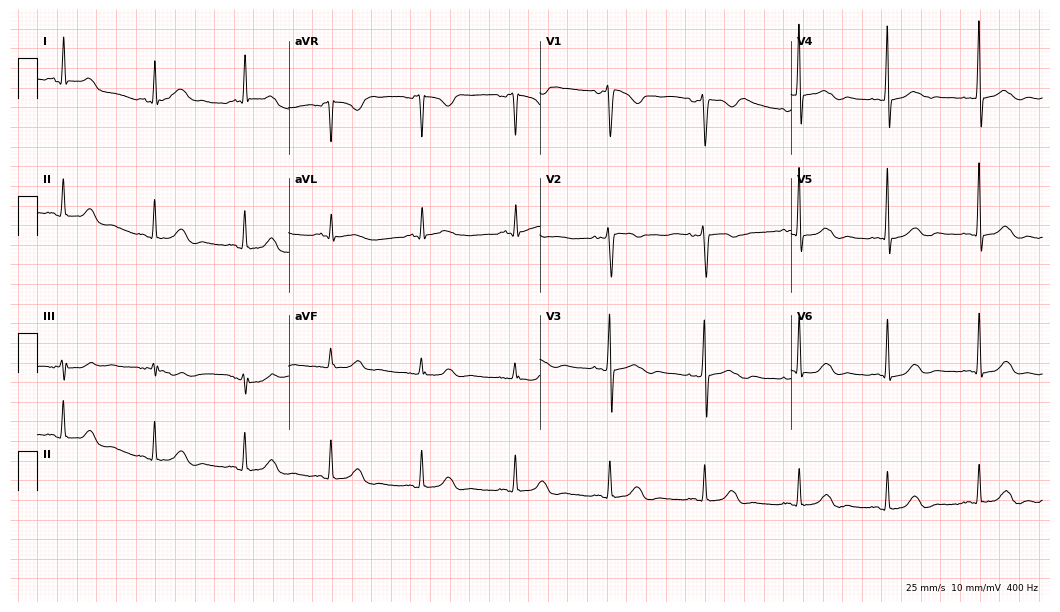
Resting 12-lead electrocardiogram (10.2-second recording at 400 Hz). Patient: a 56-year-old woman. Read as a normal ECG.